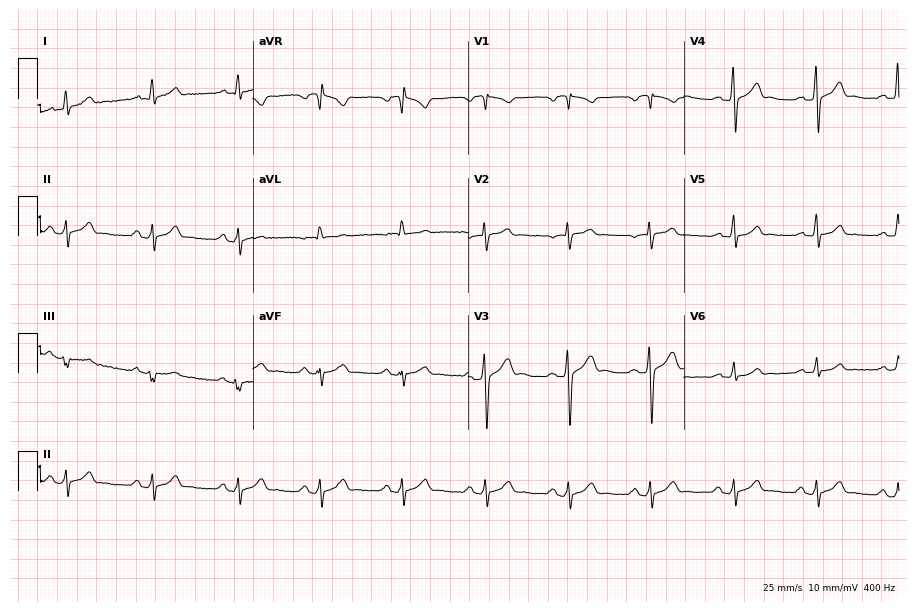
12-lead ECG from a 29-year-old male patient. No first-degree AV block, right bundle branch block, left bundle branch block, sinus bradycardia, atrial fibrillation or sinus tachycardia recorded for this tracing. Other findings, if any, are not listed.